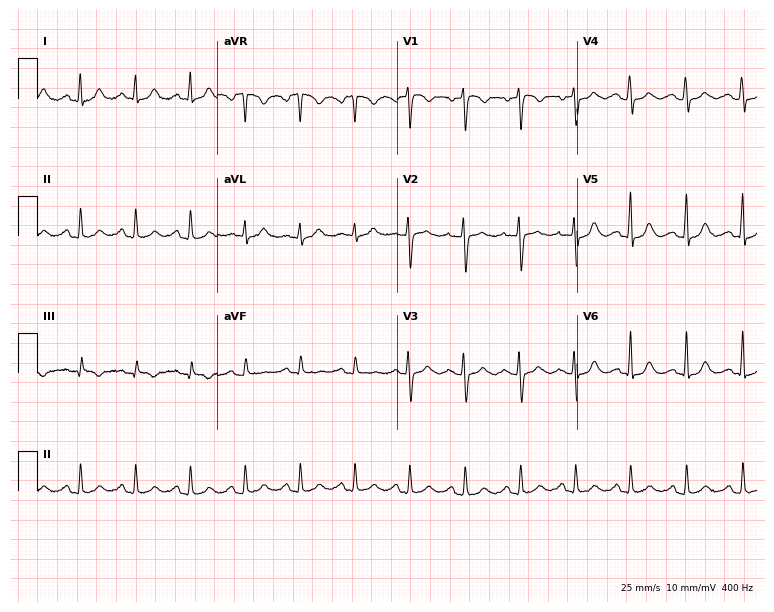
12-lead ECG (7.3-second recording at 400 Hz) from a 46-year-old female. Findings include sinus tachycardia (a sinus rate of 100 beats per minute or more).